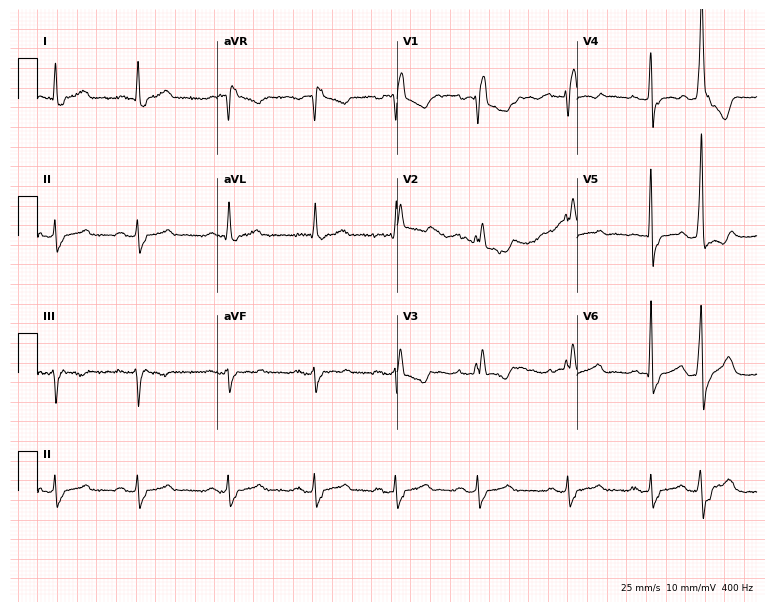
12-lead ECG from a 66-year-old female patient. Findings include right bundle branch block.